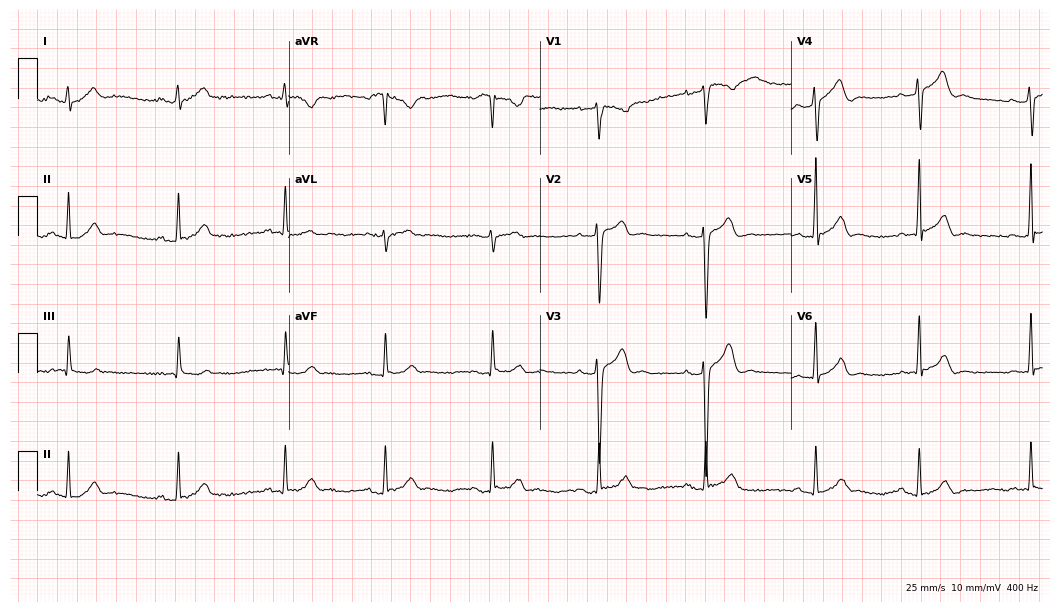
Resting 12-lead electrocardiogram (10.2-second recording at 400 Hz). Patient: a 19-year-old male. None of these six findings is recorded: first-degree AV block, right bundle branch block (RBBB), left bundle branch block (LBBB), sinus bradycardia, atrial fibrillation (AF), sinus tachycardia.